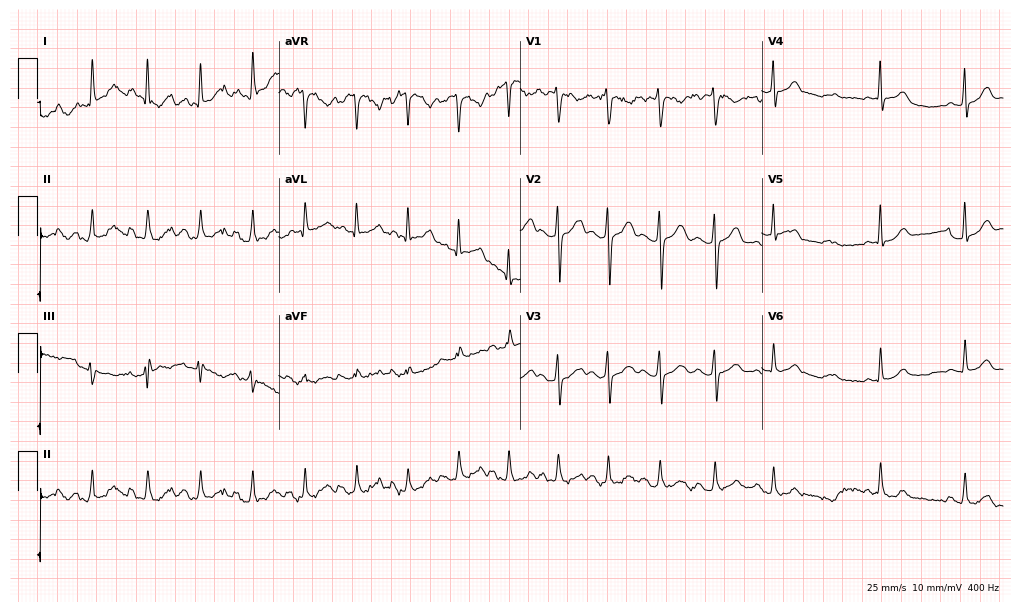
12-lead ECG from a 26-year-old female. Screened for six findings — first-degree AV block, right bundle branch block, left bundle branch block, sinus bradycardia, atrial fibrillation, sinus tachycardia — none is recorded.